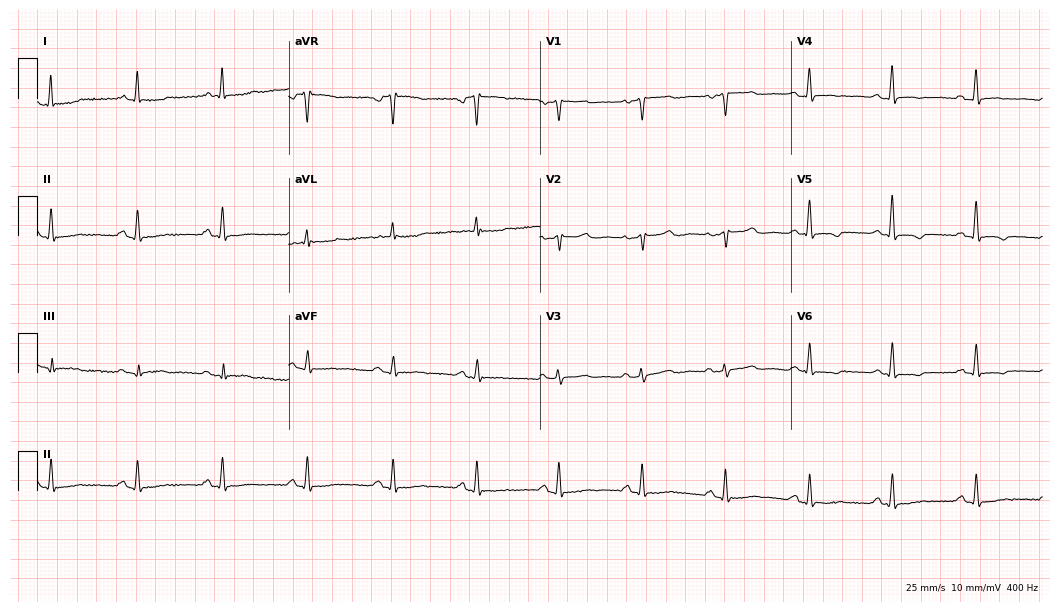
Resting 12-lead electrocardiogram (10.2-second recording at 400 Hz). Patient: a 79-year-old female. None of these six findings is recorded: first-degree AV block, right bundle branch block (RBBB), left bundle branch block (LBBB), sinus bradycardia, atrial fibrillation (AF), sinus tachycardia. Other findings, if any, are not listed.